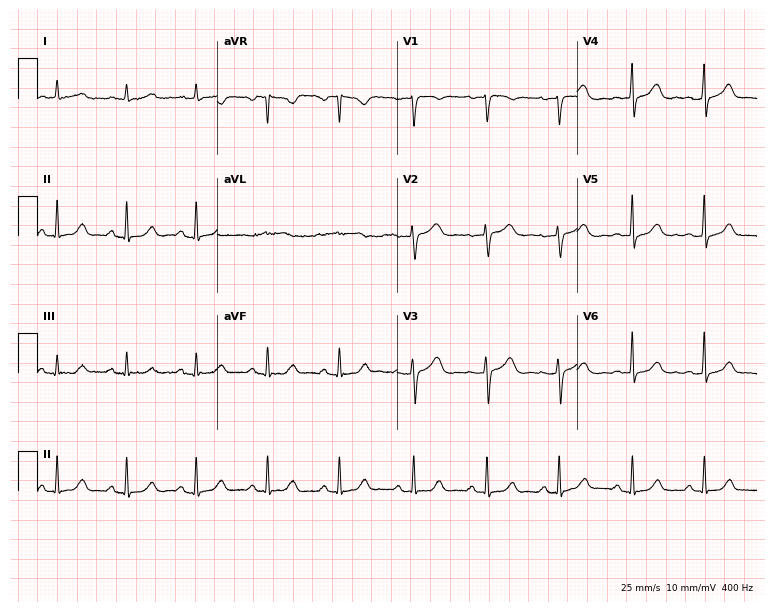
ECG — a female patient, 61 years old. Labelled as a normal ECG.